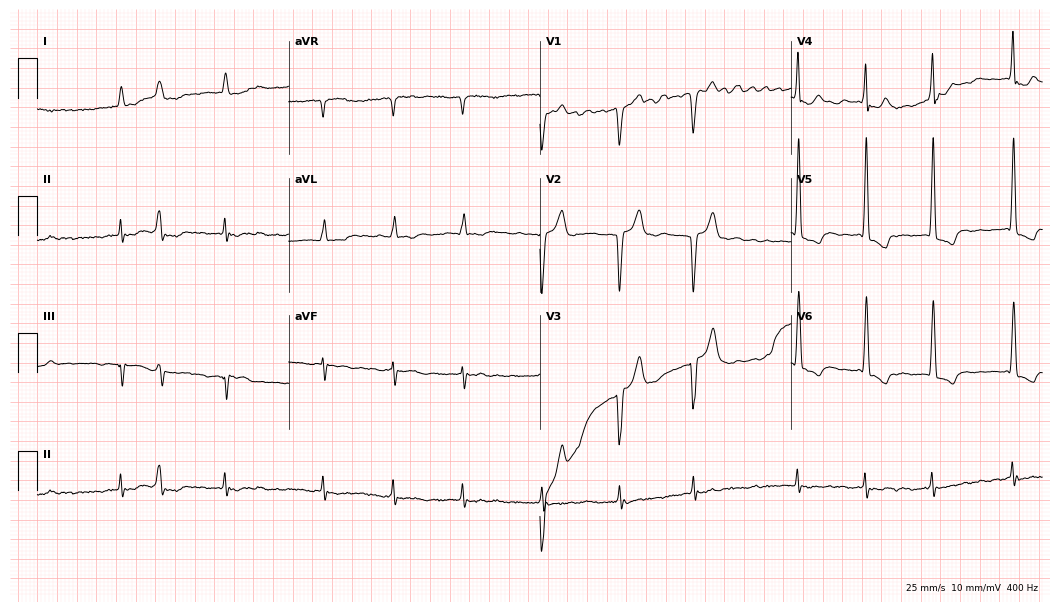
ECG — an 84-year-old female. Findings include atrial fibrillation.